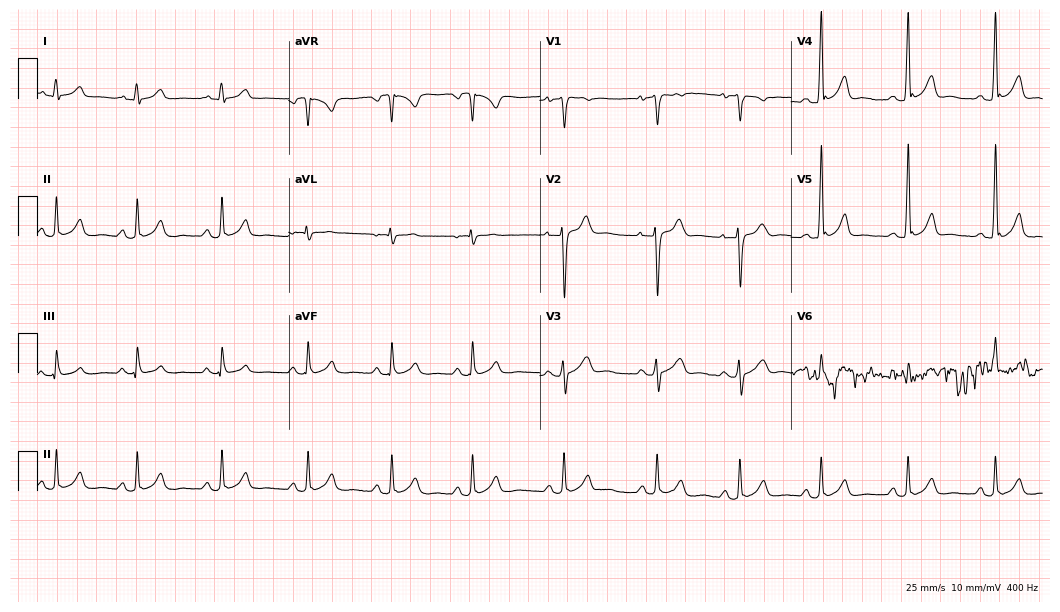
ECG — a 17-year-old male patient. Labelled as a normal ECG.